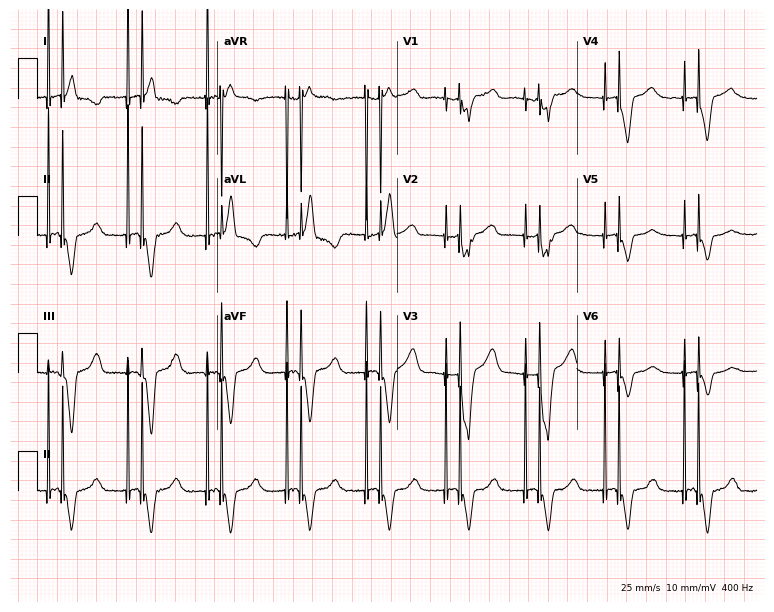
Standard 12-lead ECG recorded from an 87-year-old woman. None of these six findings is recorded: first-degree AV block, right bundle branch block, left bundle branch block, sinus bradycardia, atrial fibrillation, sinus tachycardia. Other findings, if any, are not listed.